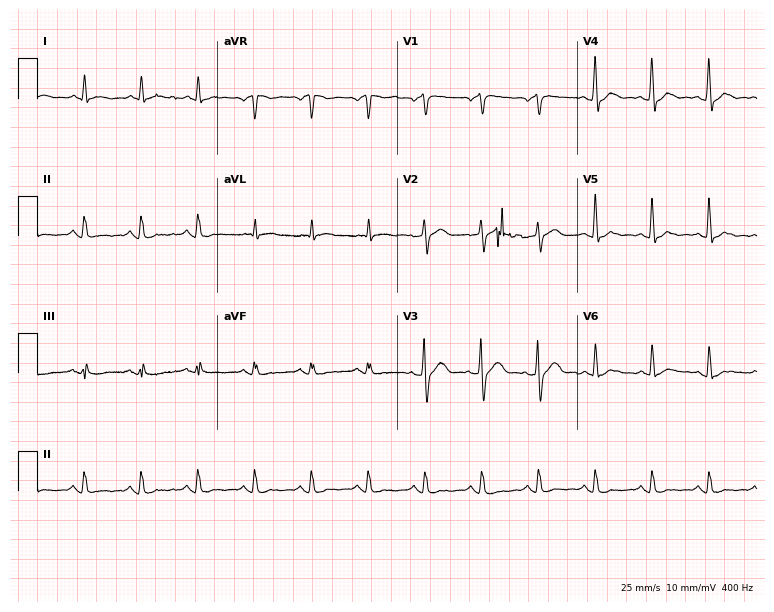
12-lead ECG (7.3-second recording at 400 Hz) from a 70-year-old male patient. Findings include sinus tachycardia (a sinus rate of 100 beats per minute or more).